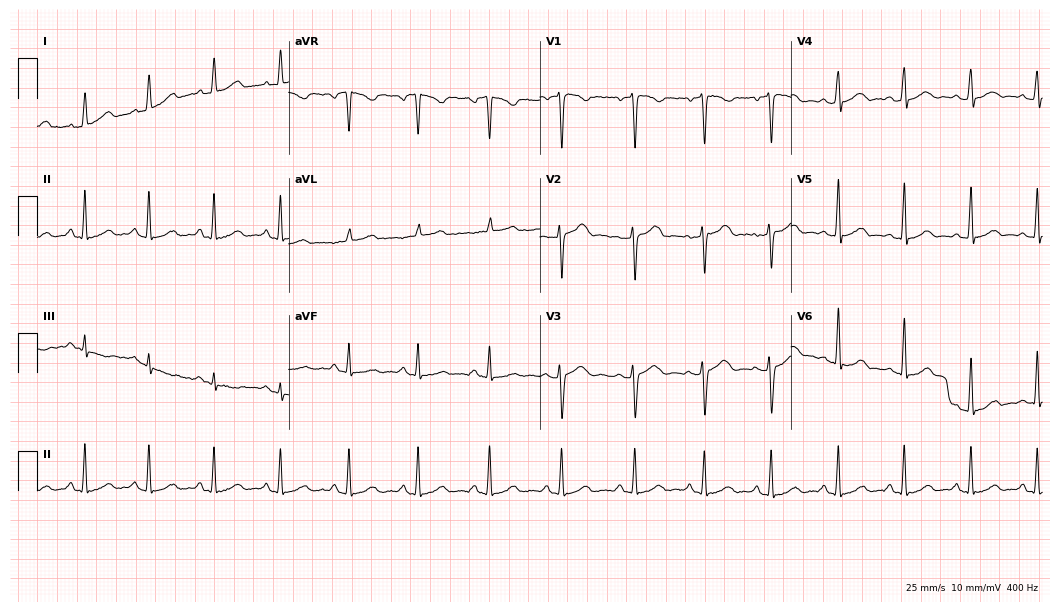
12-lead ECG (10.2-second recording at 400 Hz) from a woman, 39 years old. Labelled as a normal ECG.